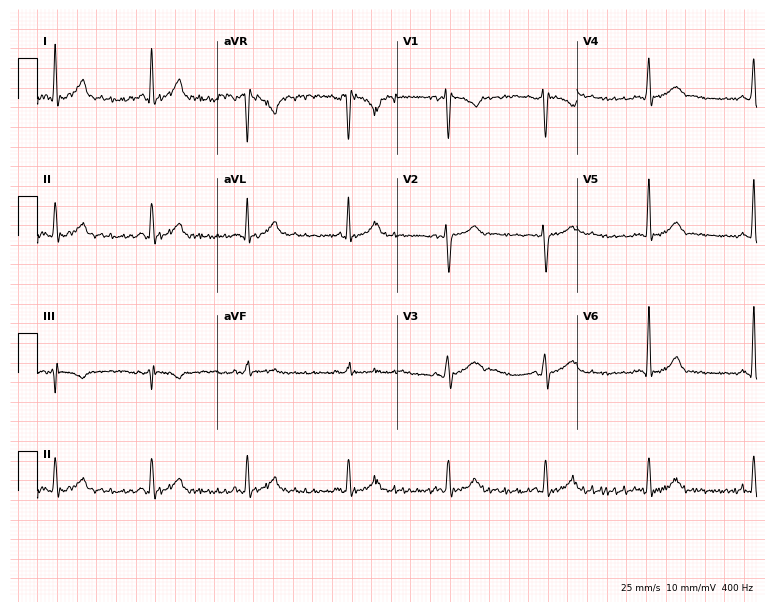
ECG (7.3-second recording at 400 Hz) — a male patient, 22 years old. Labelled as a normal ECG.